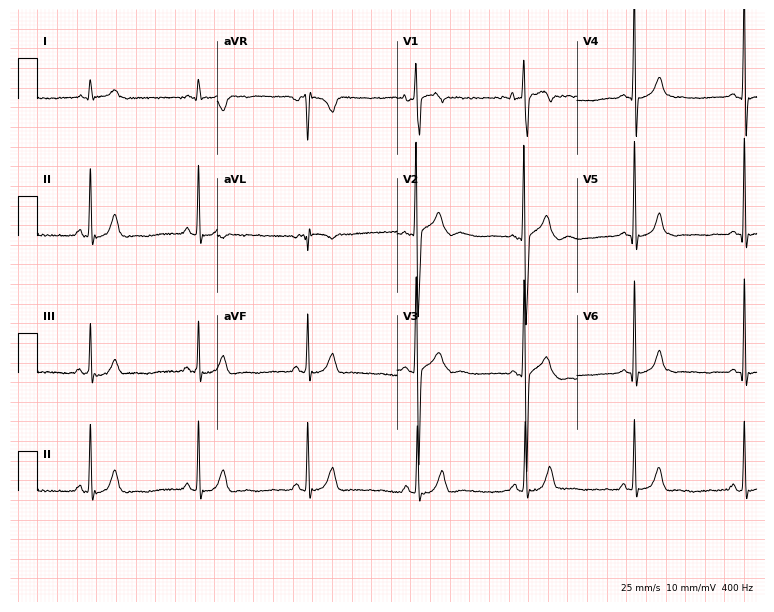
12-lead ECG (7.3-second recording at 400 Hz) from a male patient, 25 years old. Labelled as a normal ECG.